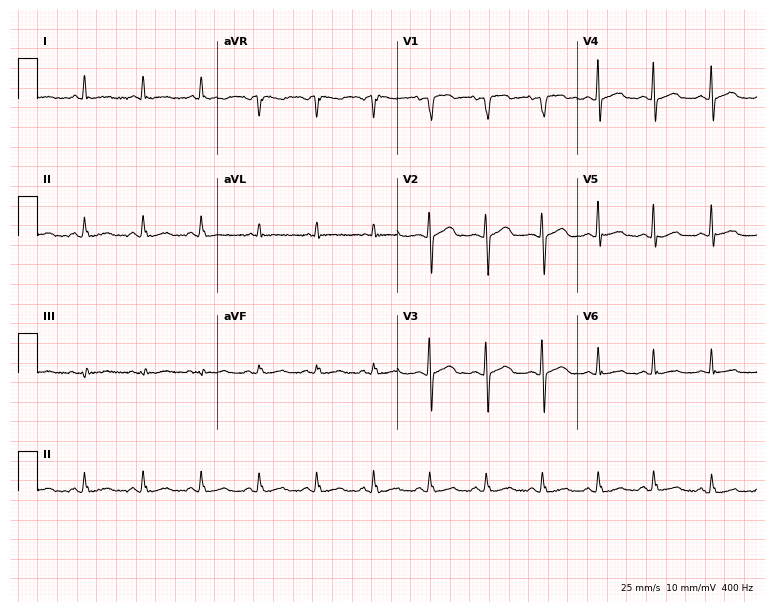
ECG (7.3-second recording at 400 Hz) — a female patient, 39 years old. Findings include sinus tachycardia (a sinus rate of 100 beats per minute or more).